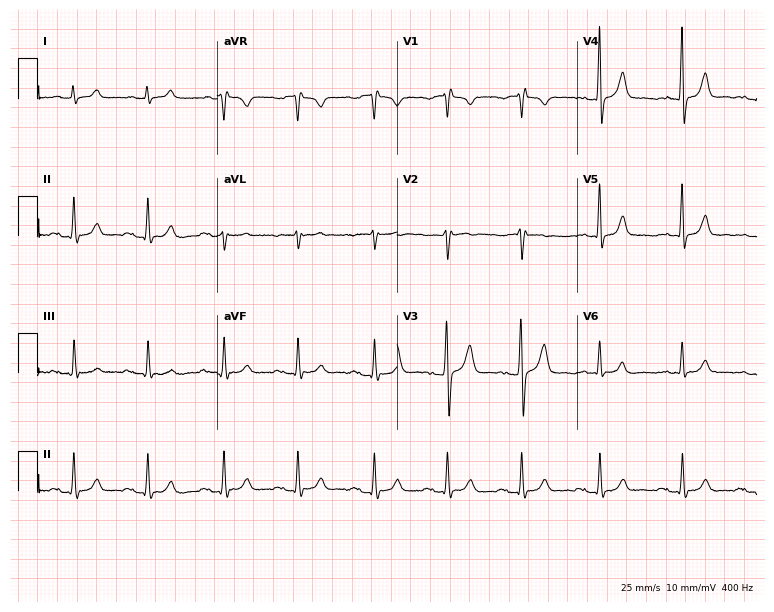
Electrocardiogram (7.3-second recording at 400 Hz), a 68-year-old man. Interpretation includes first-degree AV block.